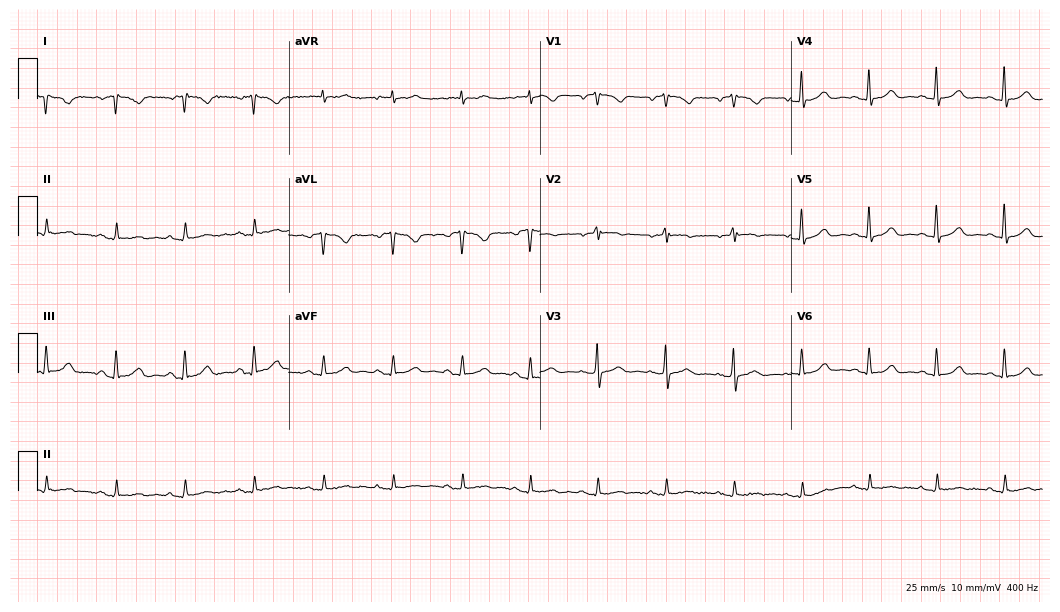
Standard 12-lead ECG recorded from a 59-year-old woman. None of these six findings is recorded: first-degree AV block, right bundle branch block, left bundle branch block, sinus bradycardia, atrial fibrillation, sinus tachycardia.